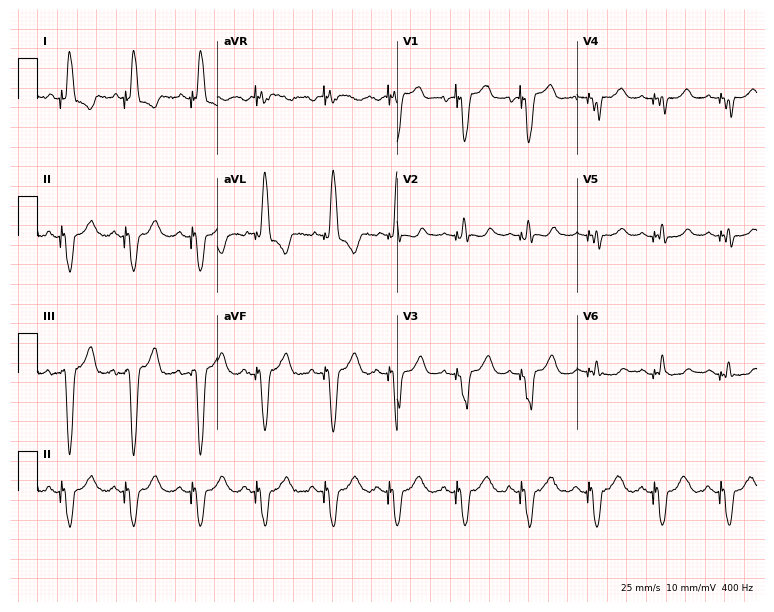
12-lead ECG from a woman, 83 years old. No first-degree AV block, right bundle branch block, left bundle branch block, sinus bradycardia, atrial fibrillation or sinus tachycardia recorded for this tracing.